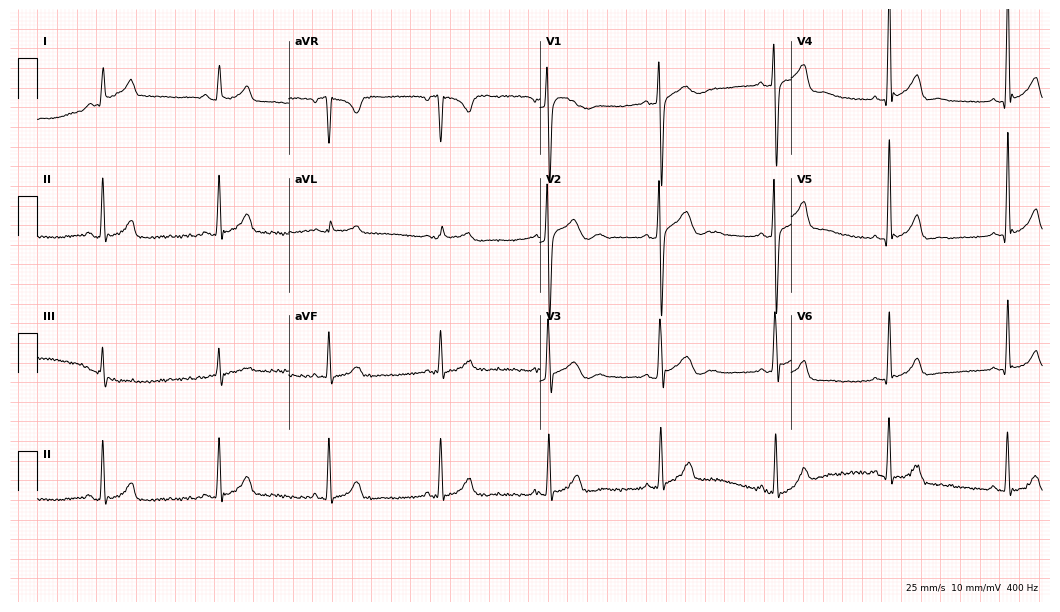
Electrocardiogram, a man, 36 years old. Of the six screened findings (first-degree AV block, right bundle branch block (RBBB), left bundle branch block (LBBB), sinus bradycardia, atrial fibrillation (AF), sinus tachycardia), none is recorded.